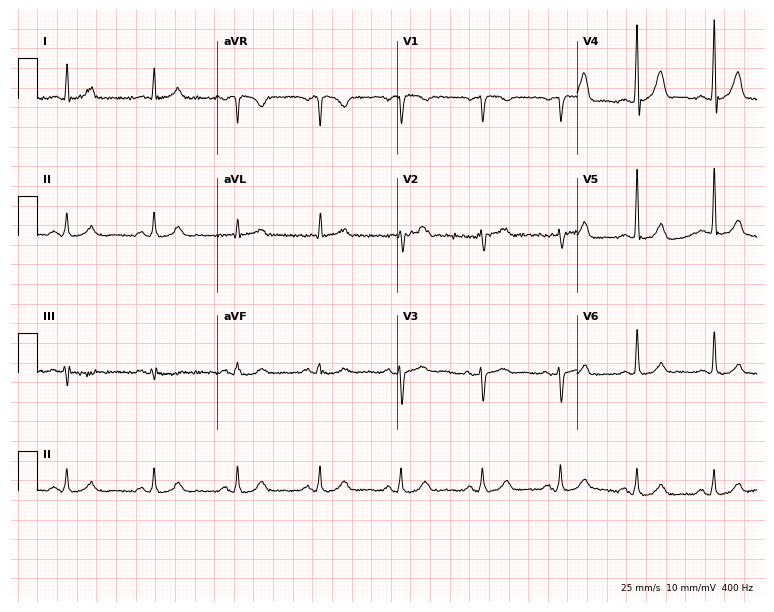
Resting 12-lead electrocardiogram (7.3-second recording at 400 Hz). Patient: a 58-year-old male. Read as a normal ECG.